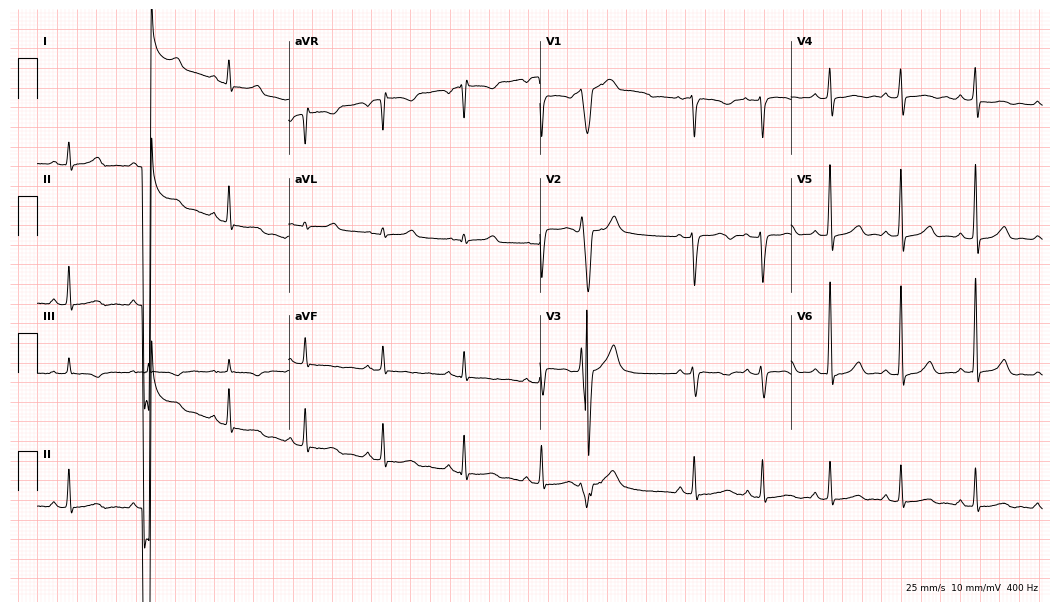
Resting 12-lead electrocardiogram (10.2-second recording at 400 Hz). Patient: a 41-year-old woman. Read as a normal ECG.